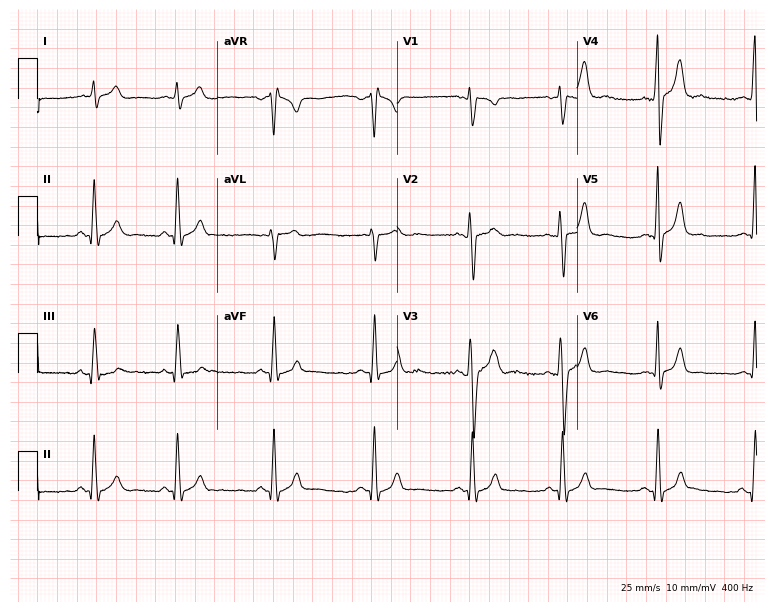
ECG — a man, 17 years old. Labelled as a normal ECG.